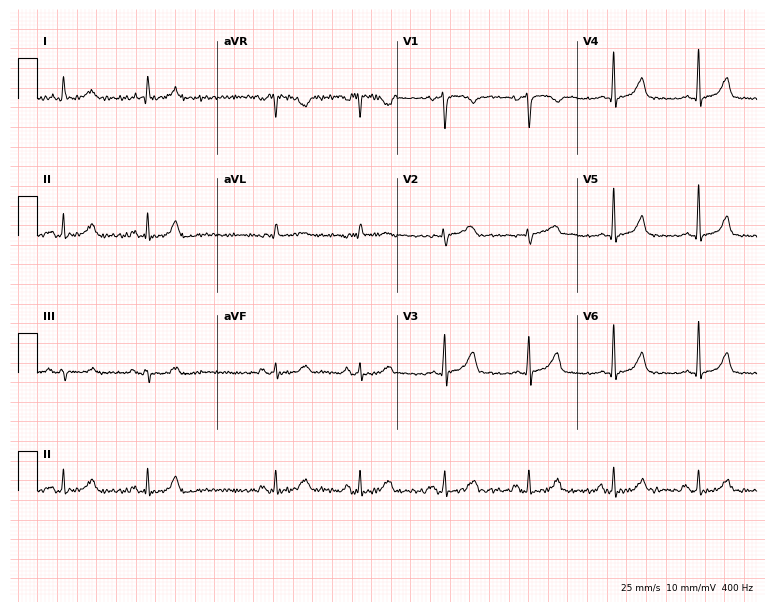
12-lead ECG from a man, 54 years old. Recorded interpretation: within normal limits.